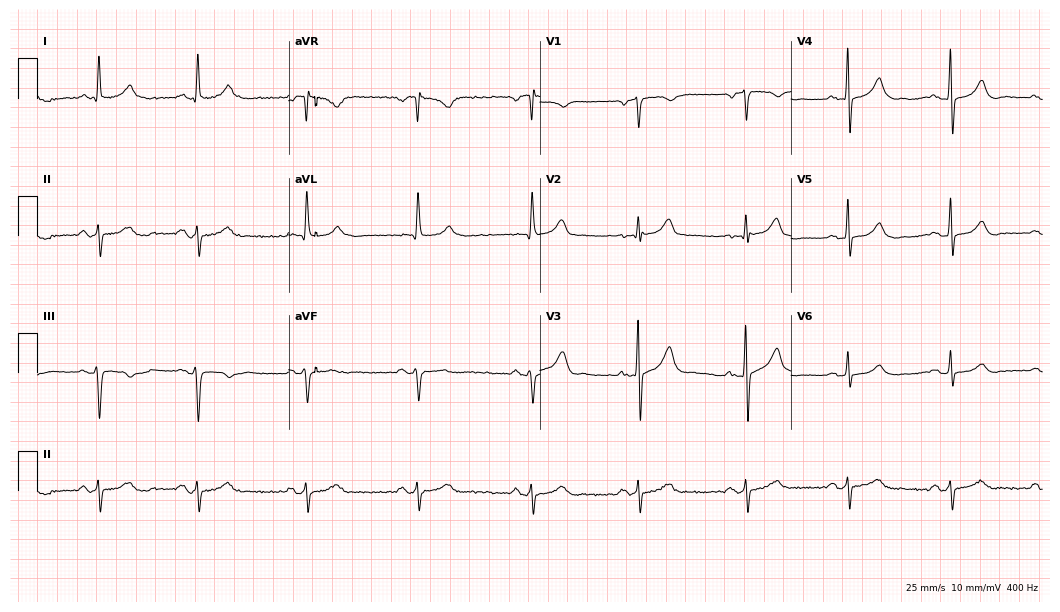
Standard 12-lead ECG recorded from a 57-year-old male. None of these six findings is recorded: first-degree AV block, right bundle branch block, left bundle branch block, sinus bradycardia, atrial fibrillation, sinus tachycardia. Only these six findings were labelled.